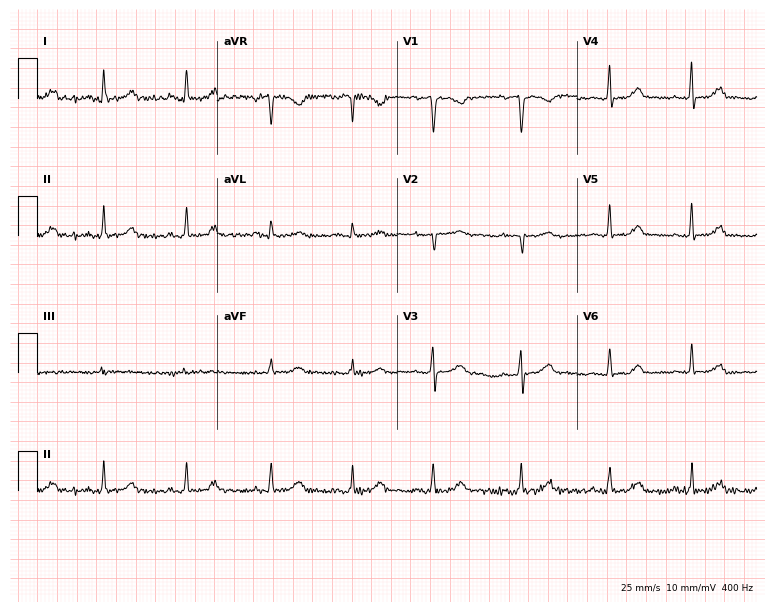
ECG — a 28-year-old female patient. Labelled as a normal ECG.